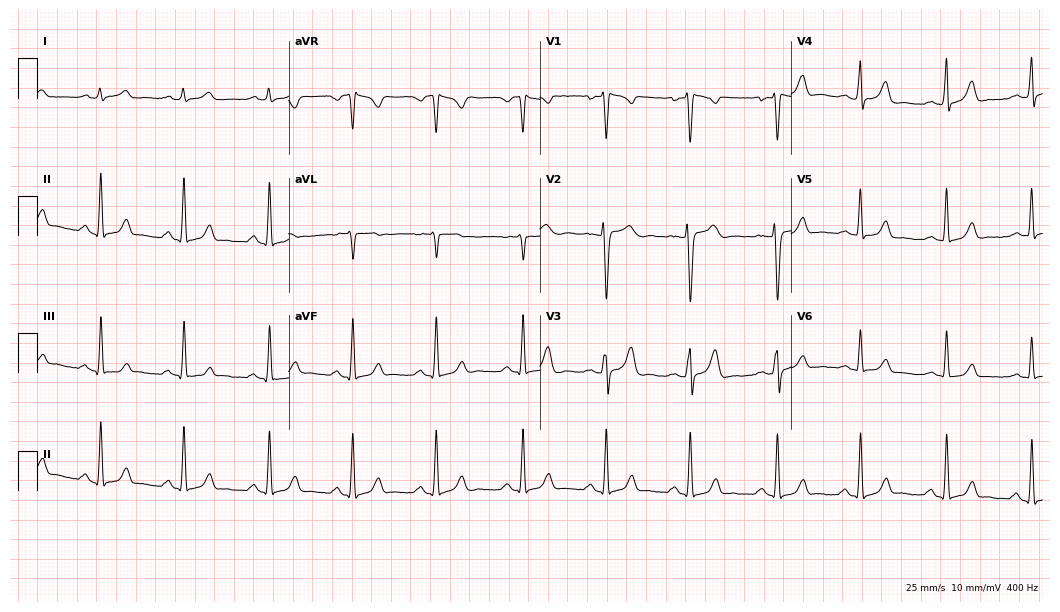
Resting 12-lead electrocardiogram. Patient: a female, 30 years old. None of these six findings is recorded: first-degree AV block, right bundle branch block, left bundle branch block, sinus bradycardia, atrial fibrillation, sinus tachycardia.